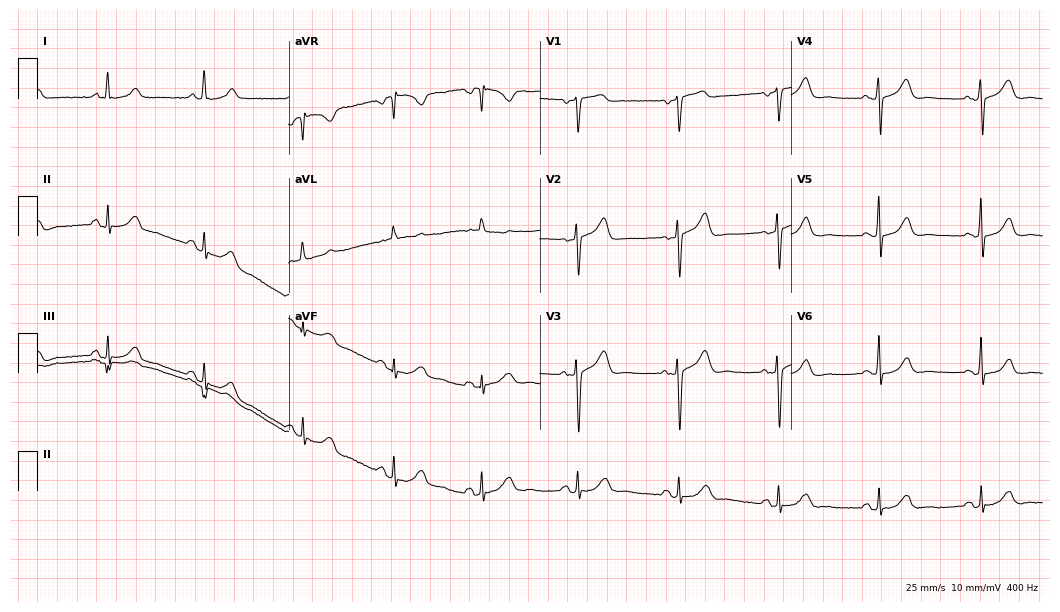
12-lead ECG from a 64-year-old female. No first-degree AV block, right bundle branch block (RBBB), left bundle branch block (LBBB), sinus bradycardia, atrial fibrillation (AF) or sinus tachycardia recorded for this tracing. Only these six findings were labelled.